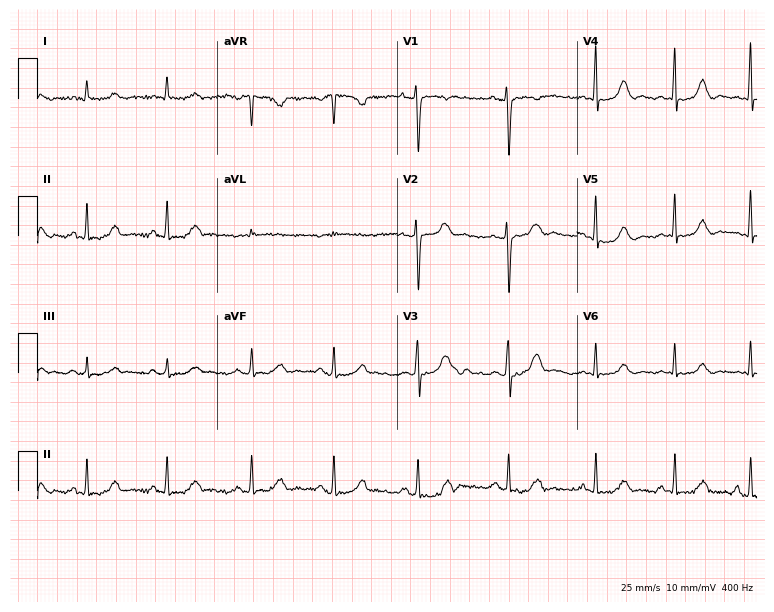
12-lead ECG from a 31-year-old woman. No first-degree AV block, right bundle branch block (RBBB), left bundle branch block (LBBB), sinus bradycardia, atrial fibrillation (AF) or sinus tachycardia recorded for this tracing.